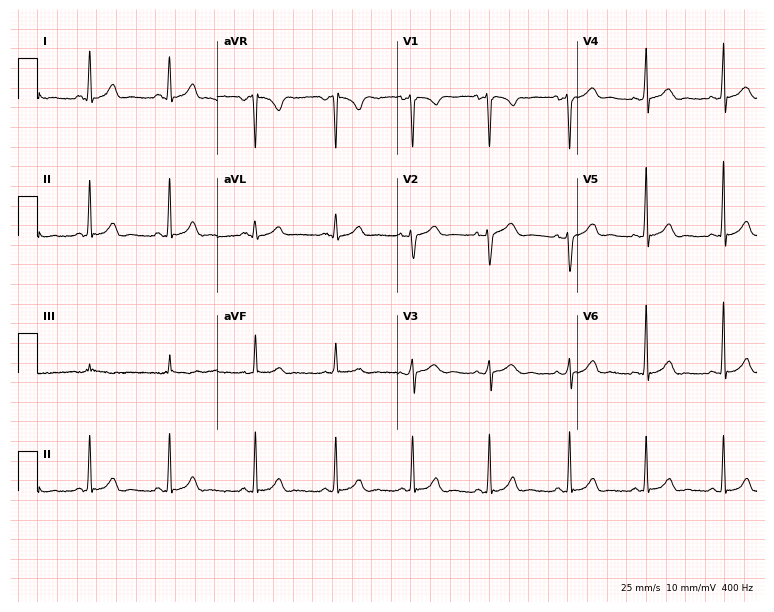
Electrocardiogram (7.3-second recording at 400 Hz), a 24-year-old female patient. Overall reading on record: normal ECG.